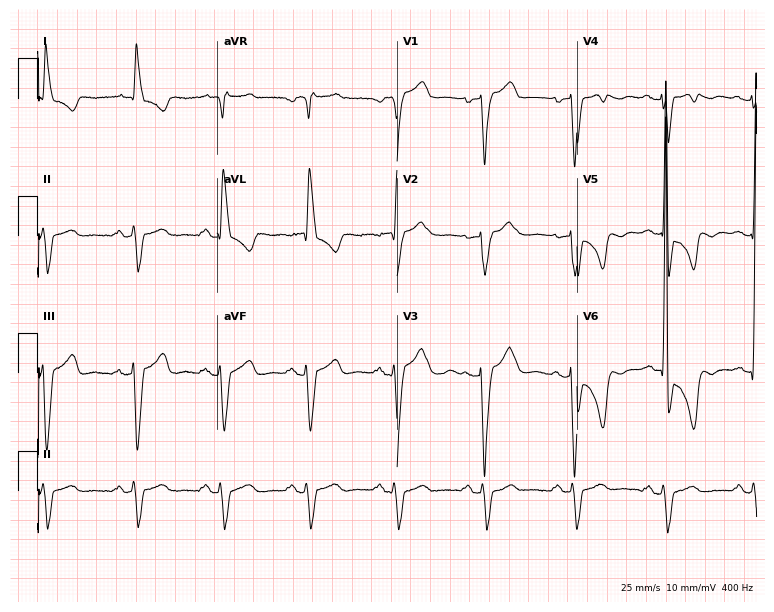
12-lead ECG from a male patient, 81 years old. Findings include left bundle branch block.